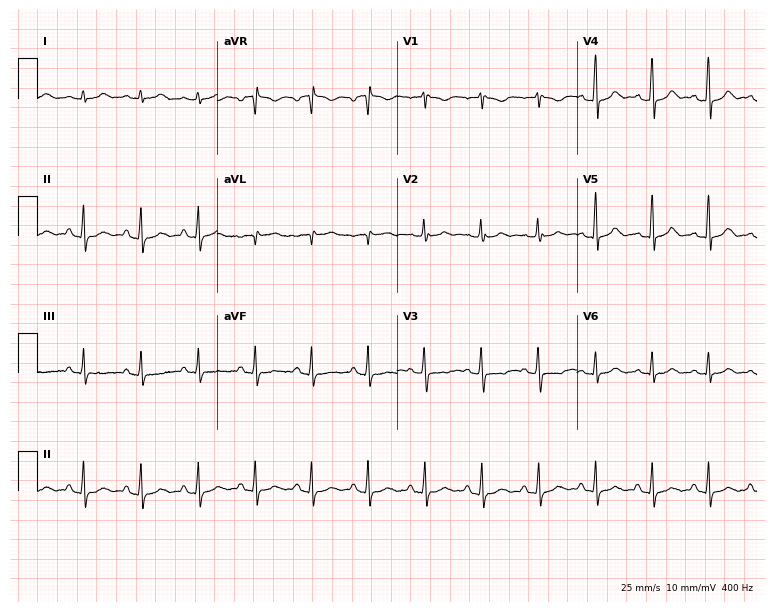
12-lead ECG from a 35-year-old woman (7.3-second recording at 400 Hz). Recorded interpretation: within normal limits.